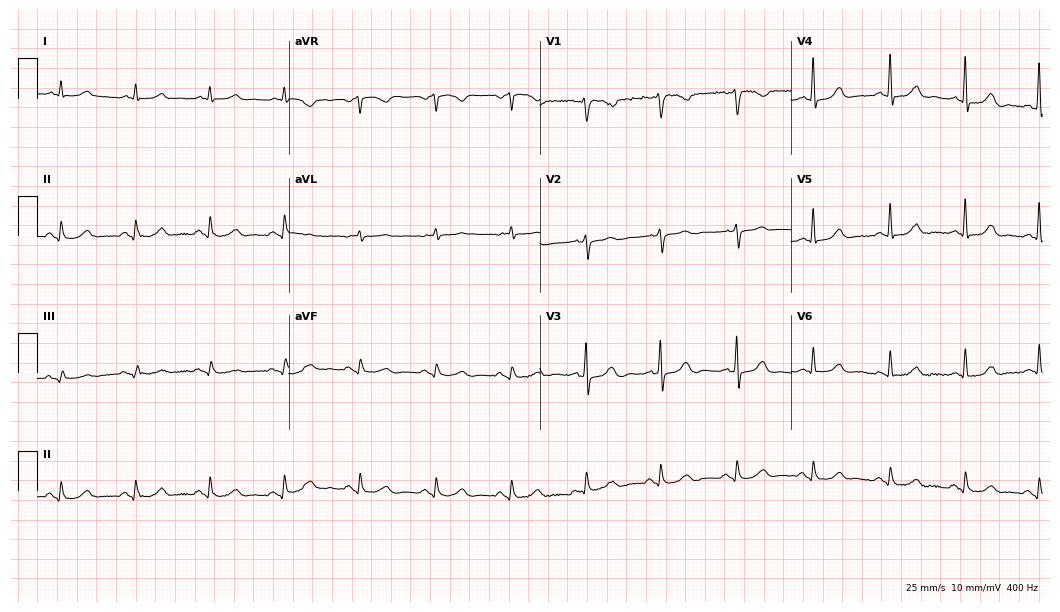
ECG (10.2-second recording at 400 Hz) — a 72-year-old male. Labelled as a normal ECG.